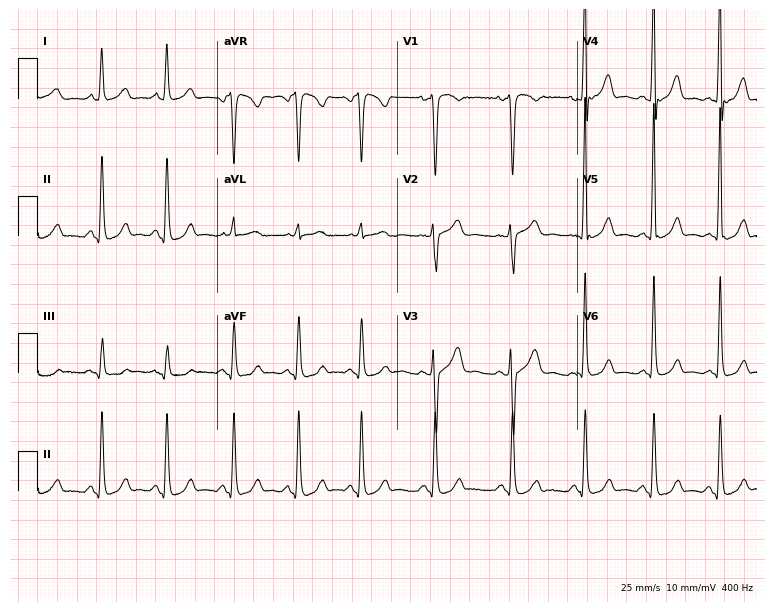
Resting 12-lead electrocardiogram (7.3-second recording at 400 Hz). Patient: a 38-year-old woman. Read as a normal ECG.